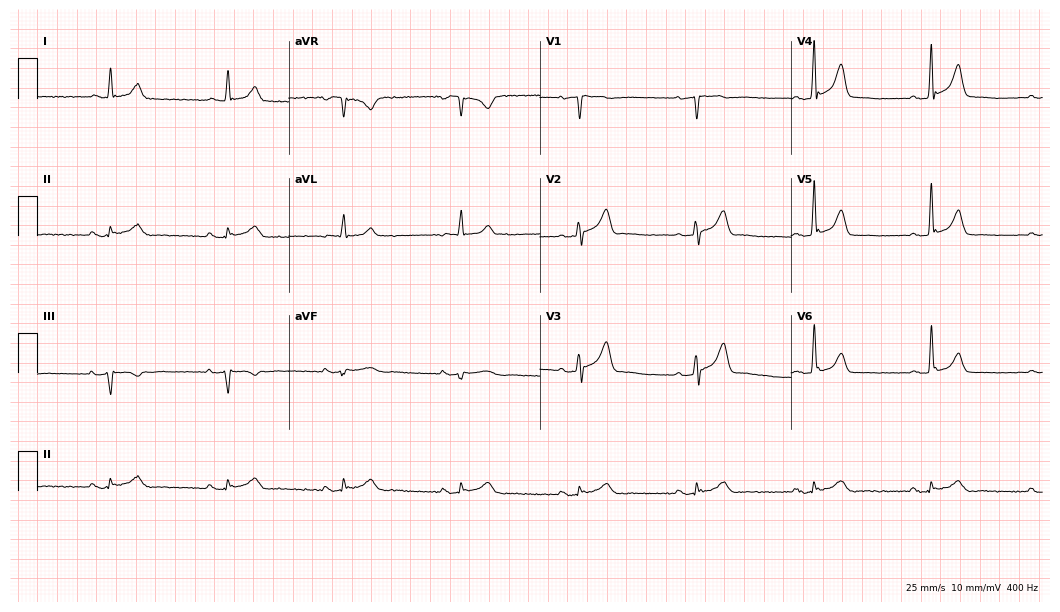
12-lead ECG from an 84-year-old man (10.2-second recording at 400 Hz). No first-degree AV block, right bundle branch block, left bundle branch block, sinus bradycardia, atrial fibrillation or sinus tachycardia recorded for this tracing.